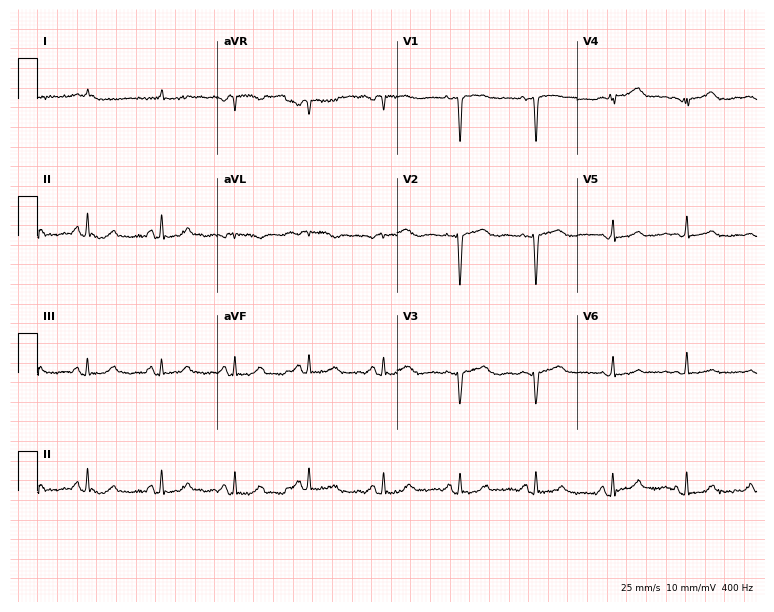
Standard 12-lead ECG recorded from a male, 72 years old. None of these six findings is recorded: first-degree AV block, right bundle branch block, left bundle branch block, sinus bradycardia, atrial fibrillation, sinus tachycardia. Findings outside these six are not listed.